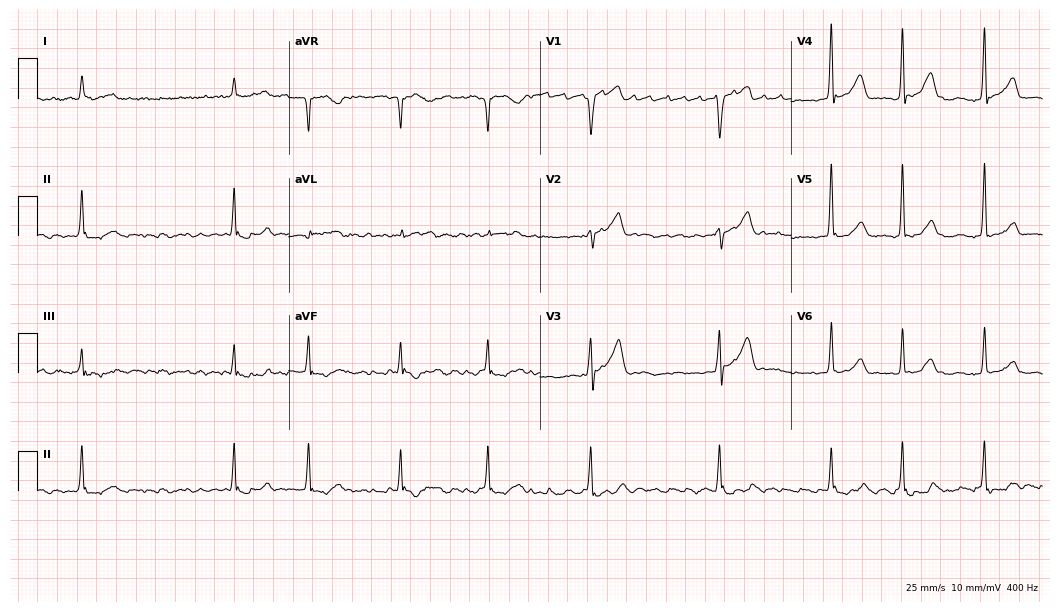
ECG (10.2-second recording at 400 Hz) — a 72-year-old man. Findings include atrial fibrillation (AF).